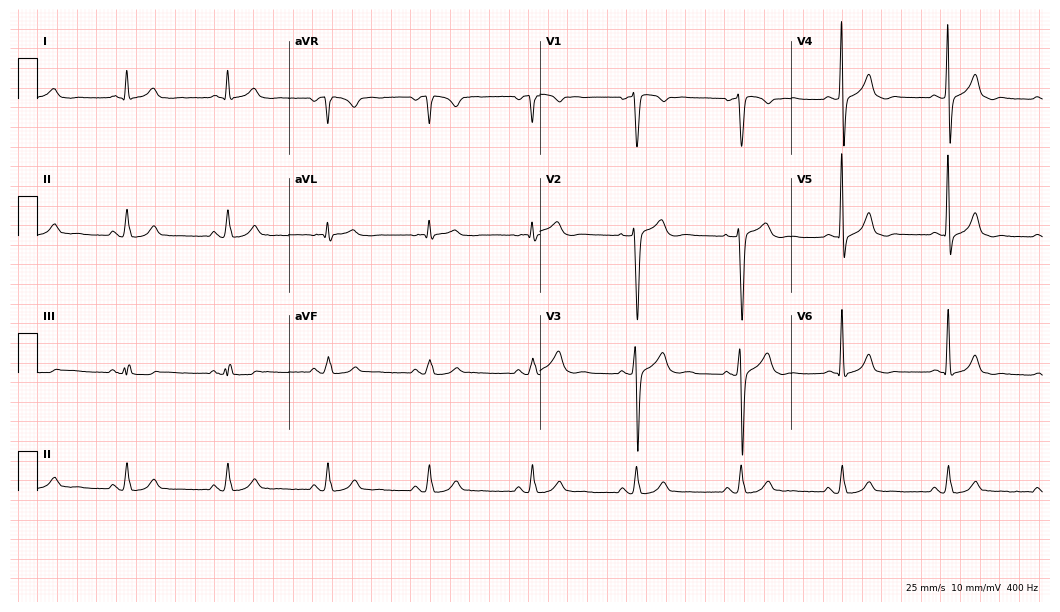
12-lead ECG from a male, 55 years old. No first-degree AV block, right bundle branch block, left bundle branch block, sinus bradycardia, atrial fibrillation or sinus tachycardia recorded for this tracing.